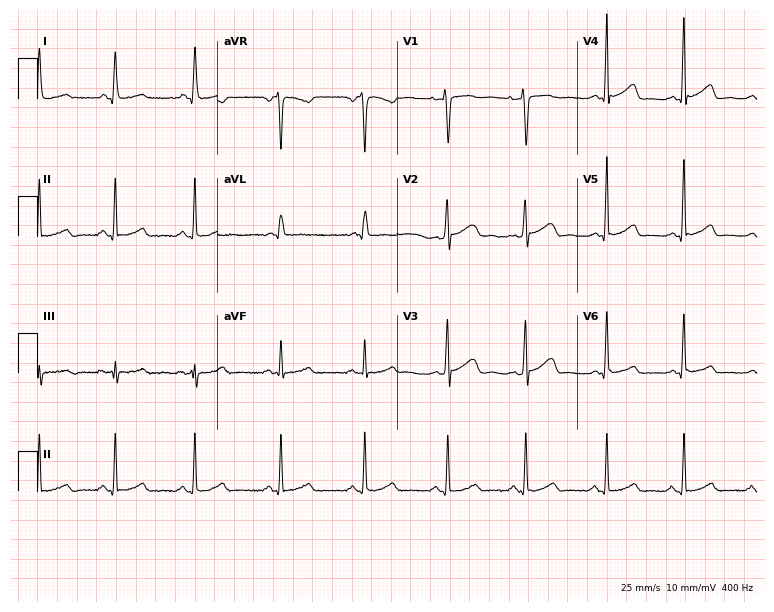
12-lead ECG (7.3-second recording at 400 Hz) from a 37-year-old woman. Labelled as a normal ECG.